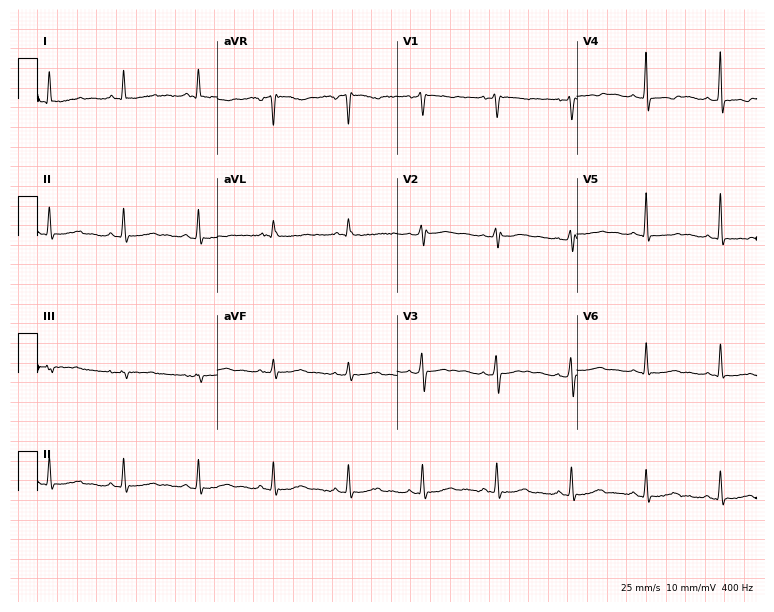
12-lead ECG (7.3-second recording at 400 Hz) from a female, 62 years old. Screened for six findings — first-degree AV block, right bundle branch block (RBBB), left bundle branch block (LBBB), sinus bradycardia, atrial fibrillation (AF), sinus tachycardia — none is recorded. Other findings, if any, are not listed.